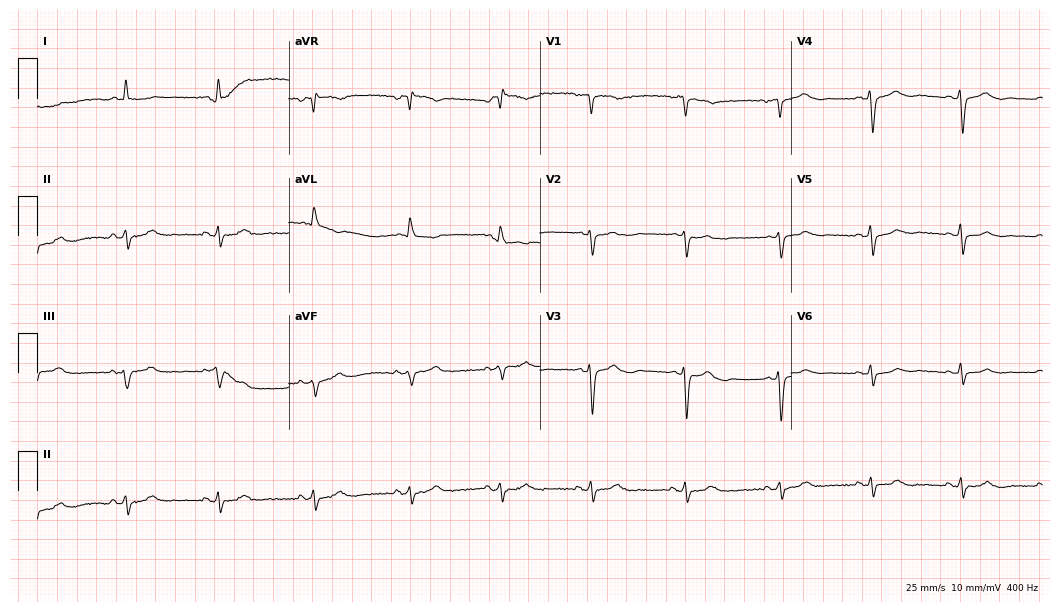
ECG — a 76-year-old woman. Screened for six findings — first-degree AV block, right bundle branch block, left bundle branch block, sinus bradycardia, atrial fibrillation, sinus tachycardia — none is recorded. Only these six findings were labelled.